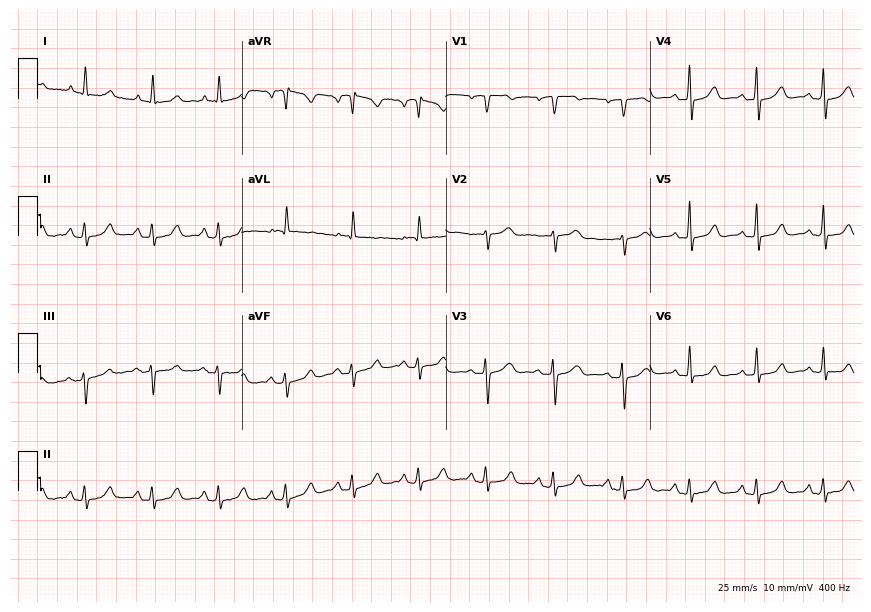
Standard 12-lead ECG recorded from a woman, 65 years old (8.3-second recording at 400 Hz). Read as a normal ECG.